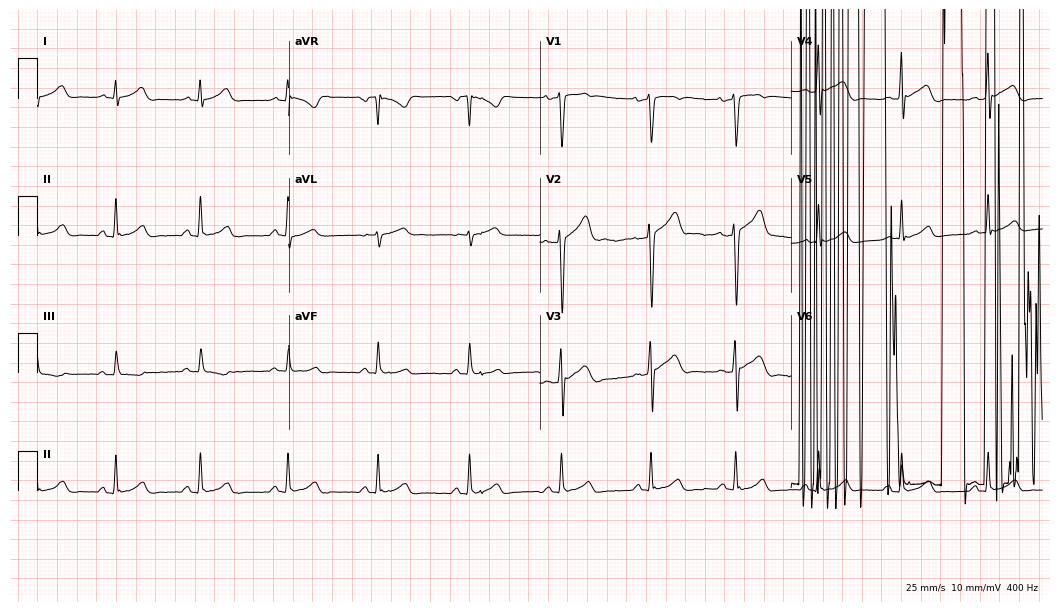
Resting 12-lead electrocardiogram. Patient: a 21-year-old male. None of these six findings is recorded: first-degree AV block, right bundle branch block, left bundle branch block, sinus bradycardia, atrial fibrillation, sinus tachycardia.